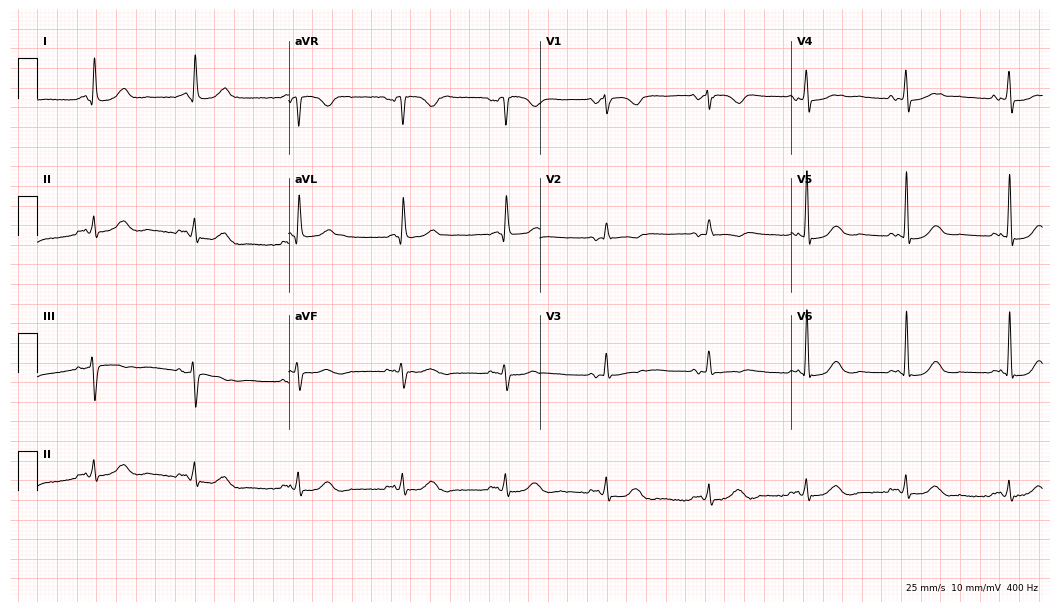
12-lead ECG from a 63-year-old woman (10.2-second recording at 400 Hz). Recorded interpretation: within normal limits.